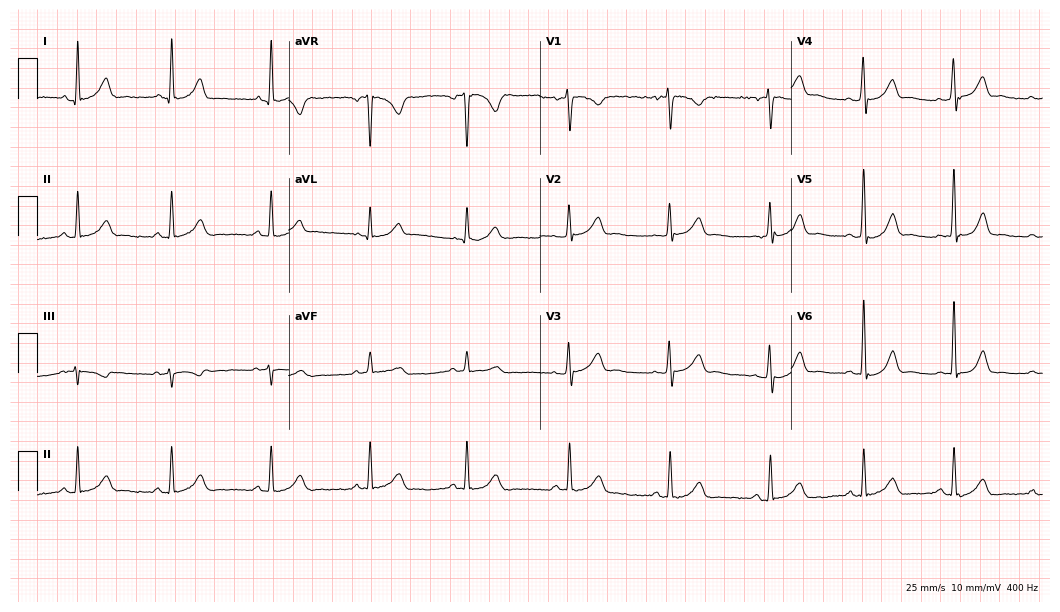
ECG (10.2-second recording at 400 Hz) — a 54-year-old woman. Labelled as a normal ECG.